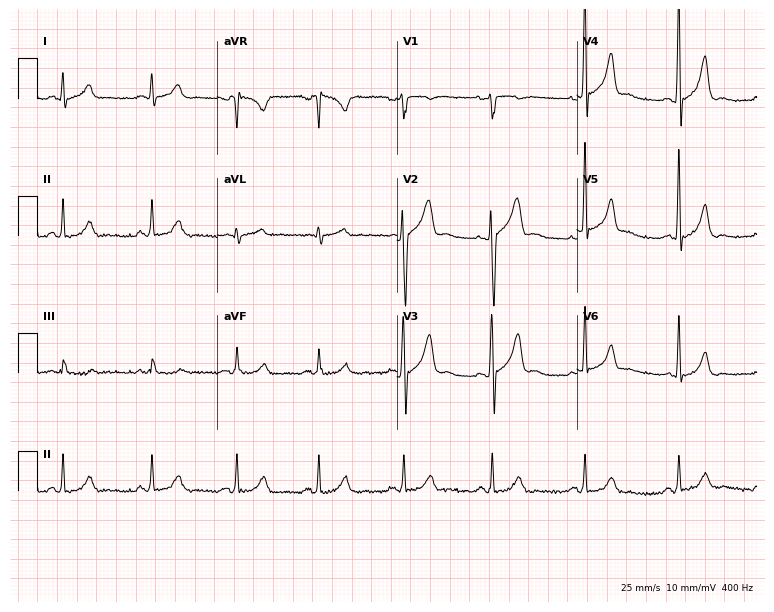
12-lead ECG from a male patient, 39 years old (7.3-second recording at 400 Hz). Recorded interpretation: within normal limits.